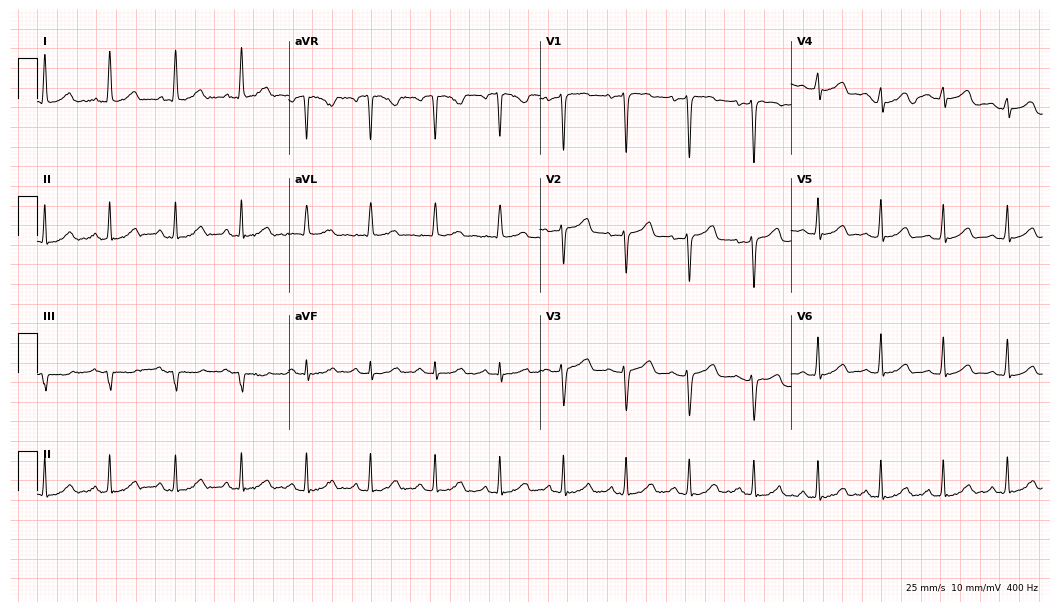
Electrocardiogram, a 33-year-old female. Overall reading on record: normal ECG.